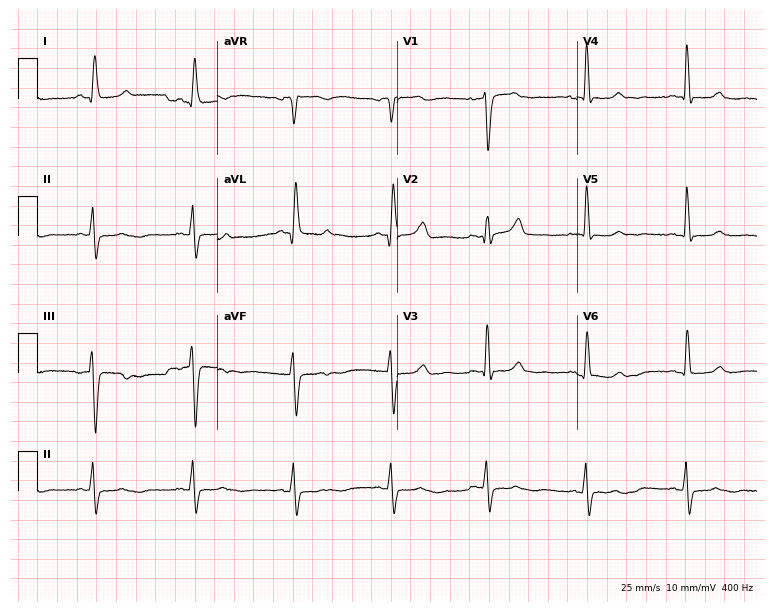
Resting 12-lead electrocardiogram. Patient: a female, 58 years old. None of these six findings is recorded: first-degree AV block, right bundle branch block, left bundle branch block, sinus bradycardia, atrial fibrillation, sinus tachycardia. Other findings, if any, are not listed.